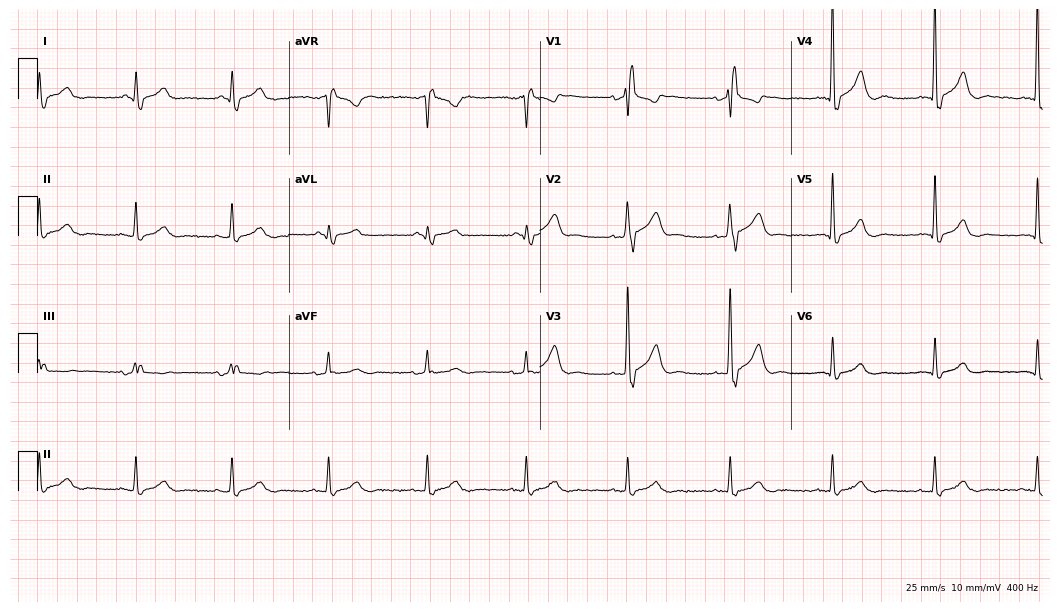
Resting 12-lead electrocardiogram (10.2-second recording at 400 Hz). Patient: a male, 76 years old. The tracing shows right bundle branch block.